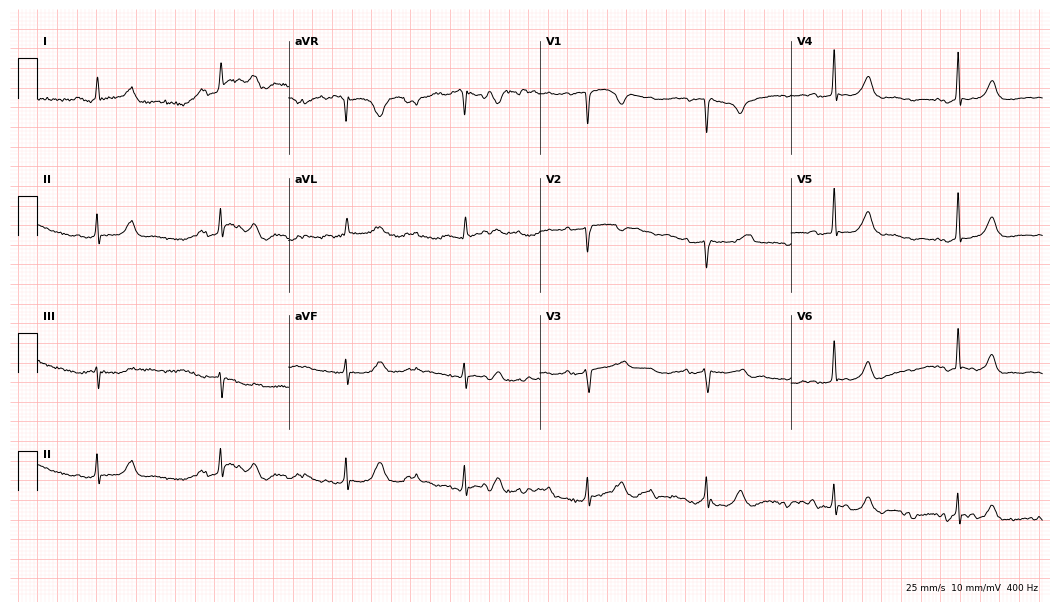
12-lead ECG (10.2-second recording at 400 Hz) from a 54-year-old female. Findings include sinus bradycardia (a sinus rate of 50 beats per minute or less).